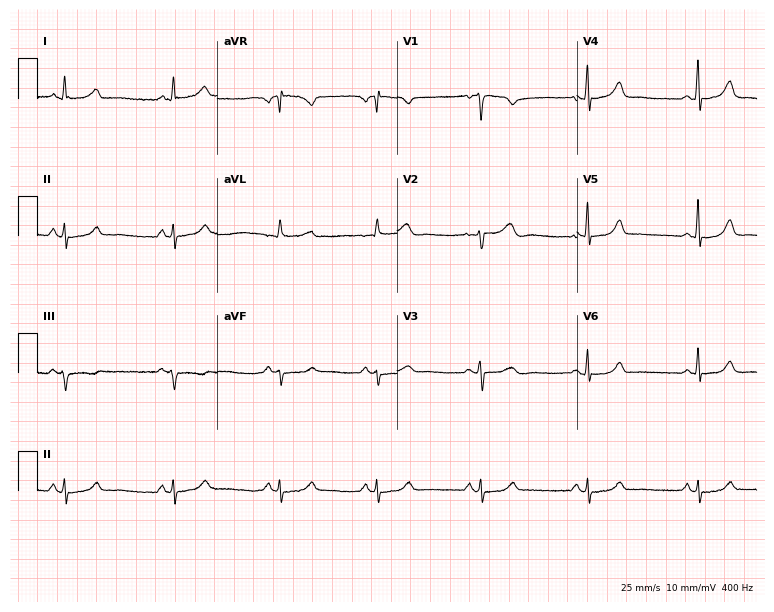
12-lead ECG from a female patient, 41 years old. Labelled as a normal ECG.